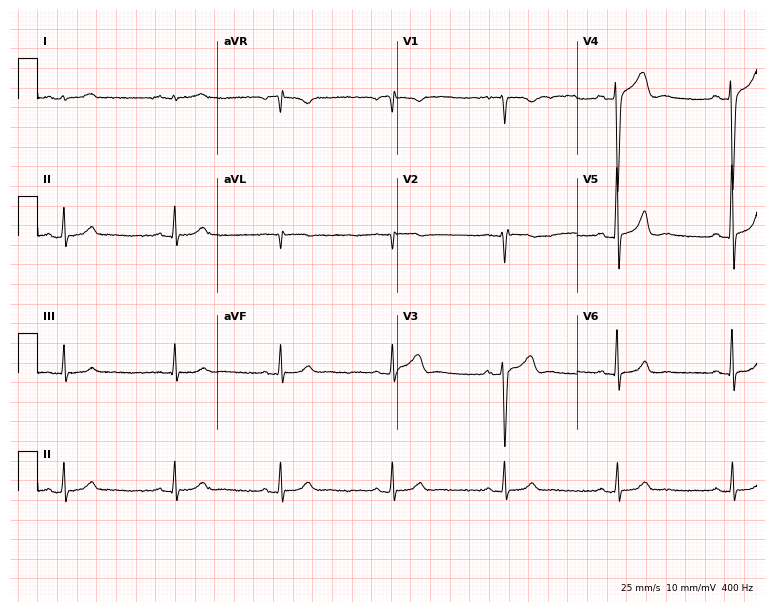
ECG (7.3-second recording at 400 Hz) — a 56-year-old male patient. Screened for six findings — first-degree AV block, right bundle branch block, left bundle branch block, sinus bradycardia, atrial fibrillation, sinus tachycardia — none is recorded. Findings outside these six are not listed.